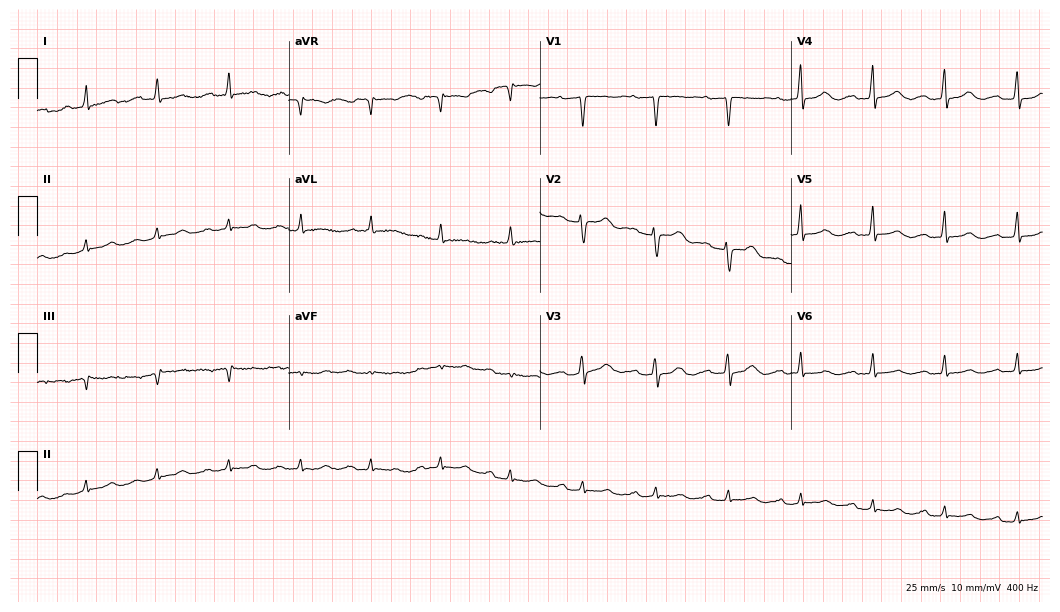
Standard 12-lead ECG recorded from a woman, 60 years old (10.2-second recording at 400 Hz). The tracing shows first-degree AV block.